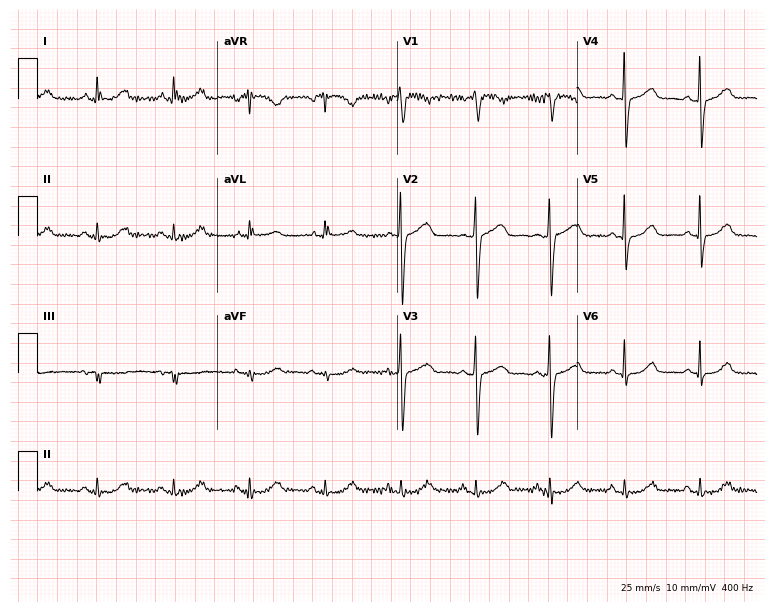
Electrocardiogram (7.3-second recording at 400 Hz), a female patient, 83 years old. Of the six screened findings (first-degree AV block, right bundle branch block (RBBB), left bundle branch block (LBBB), sinus bradycardia, atrial fibrillation (AF), sinus tachycardia), none is recorded.